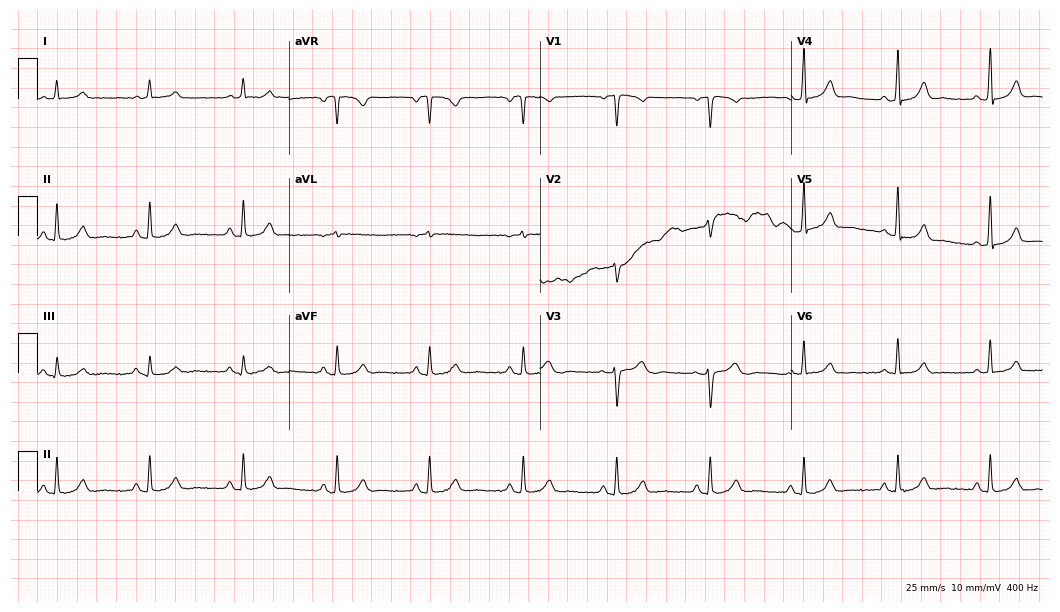
12-lead ECG from a female, 46 years old. Labelled as a normal ECG.